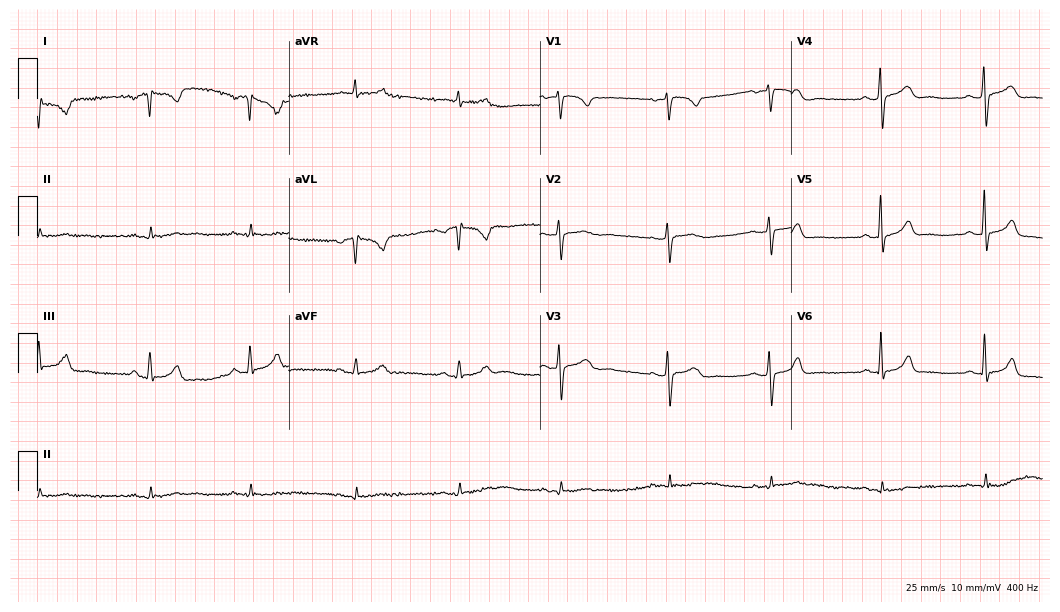
ECG — a female patient, 39 years old. Screened for six findings — first-degree AV block, right bundle branch block (RBBB), left bundle branch block (LBBB), sinus bradycardia, atrial fibrillation (AF), sinus tachycardia — none is recorded.